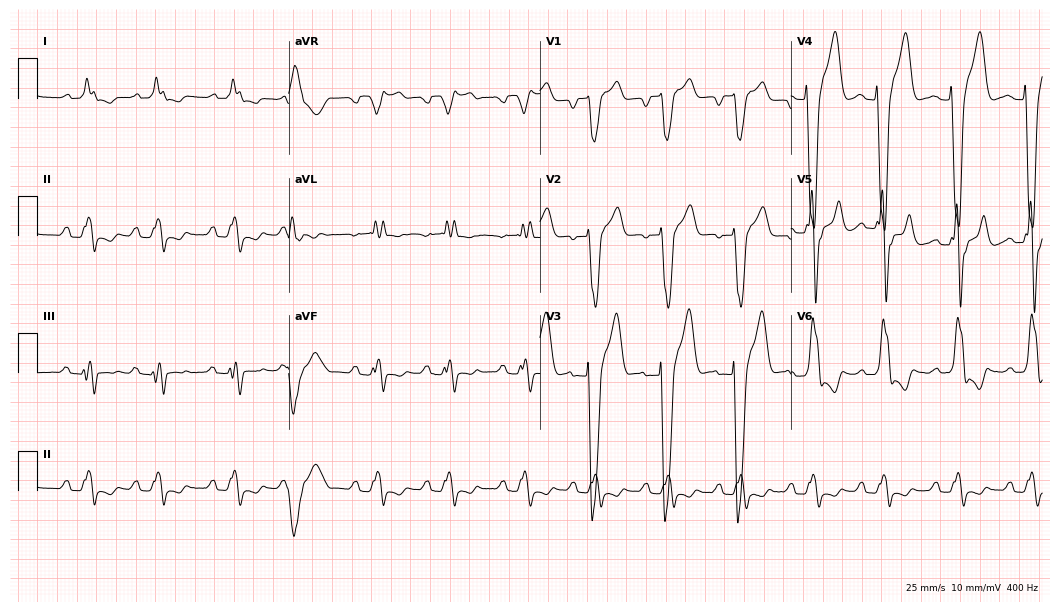
Electrocardiogram, a 61-year-old male patient. Interpretation includes left bundle branch block (LBBB).